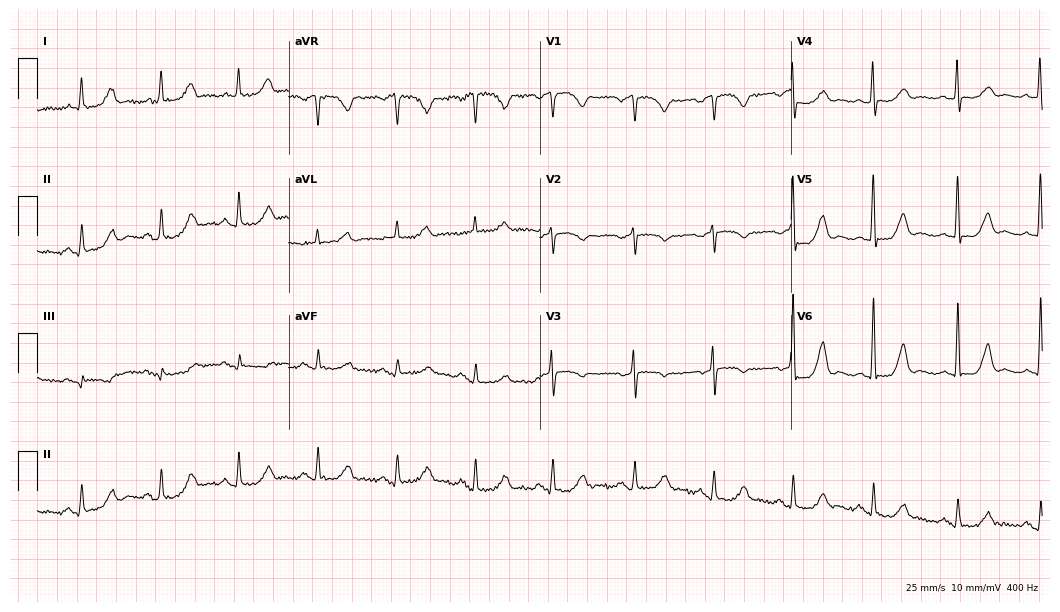
ECG (10.2-second recording at 400 Hz) — a 60-year-old female. Screened for six findings — first-degree AV block, right bundle branch block, left bundle branch block, sinus bradycardia, atrial fibrillation, sinus tachycardia — none is recorded.